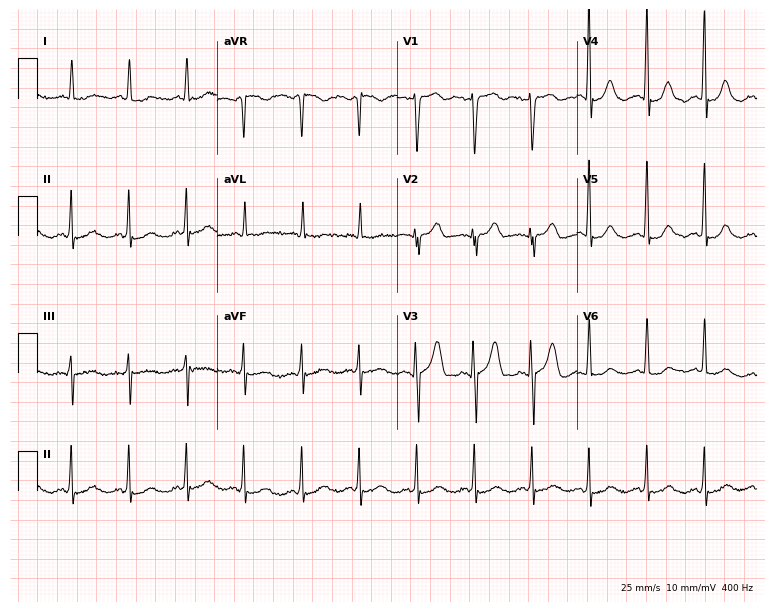
Resting 12-lead electrocardiogram. Patient: a male, 59 years old. The tracing shows sinus tachycardia (a sinus rate of 100 beats per minute or more).